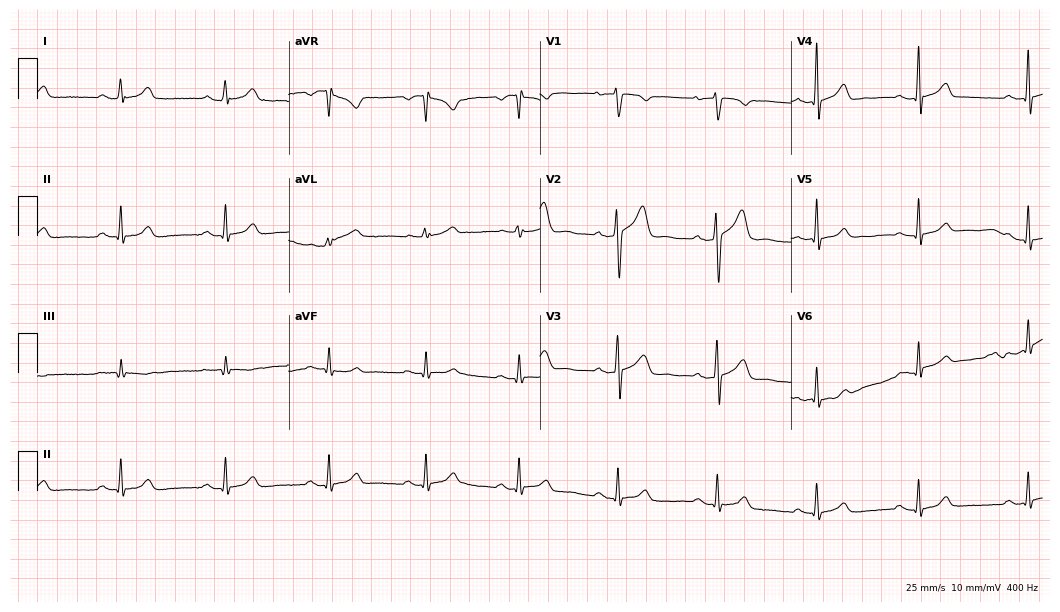
12-lead ECG from a male, 39 years old (10.2-second recording at 400 Hz). Recorded interpretation: within normal limits.